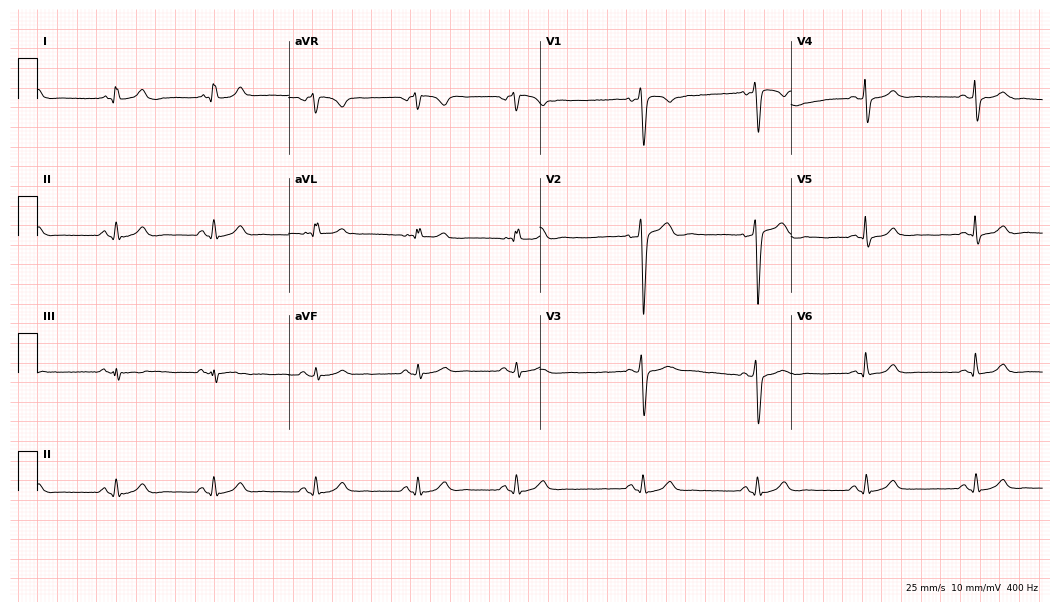
12-lead ECG from a 30-year-old male (10.2-second recording at 400 Hz). No first-degree AV block, right bundle branch block (RBBB), left bundle branch block (LBBB), sinus bradycardia, atrial fibrillation (AF) or sinus tachycardia recorded for this tracing. Findings outside these six are not listed.